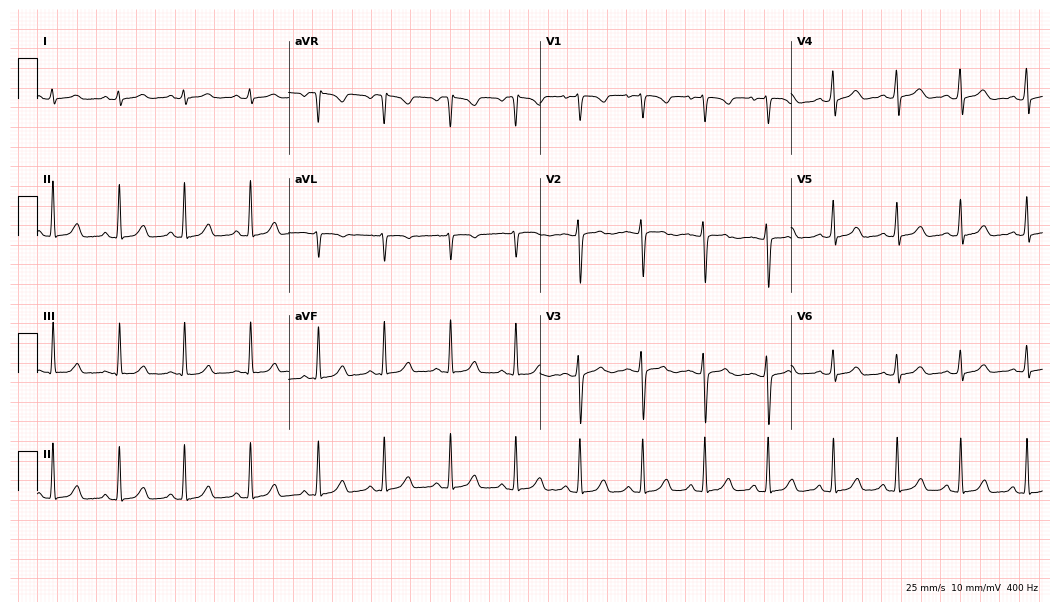
12-lead ECG (10.2-second recording at 400 Hz) from a female patient, 18 years old. Labelled as a normal ECG.